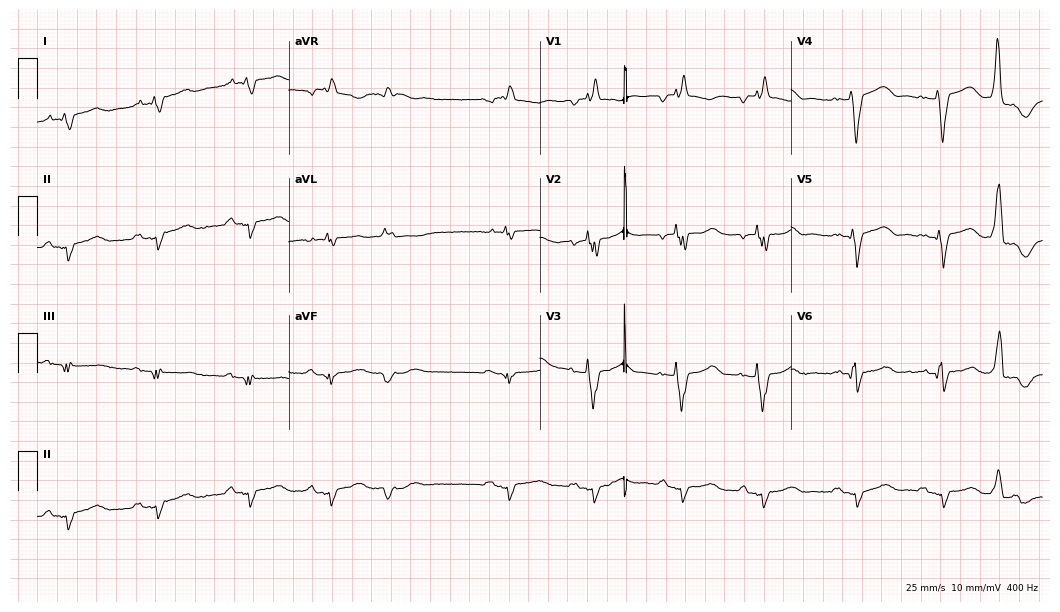
12-lead ECG (10.2-second recording at 400 Hz) from a female patient, 58 years old. Screened for six findings — first-degree AV block, right bundle branch block, left bundle branch block, sinus bradycardia, atrial fibrillation, sinus tachycardia — none is recorded.